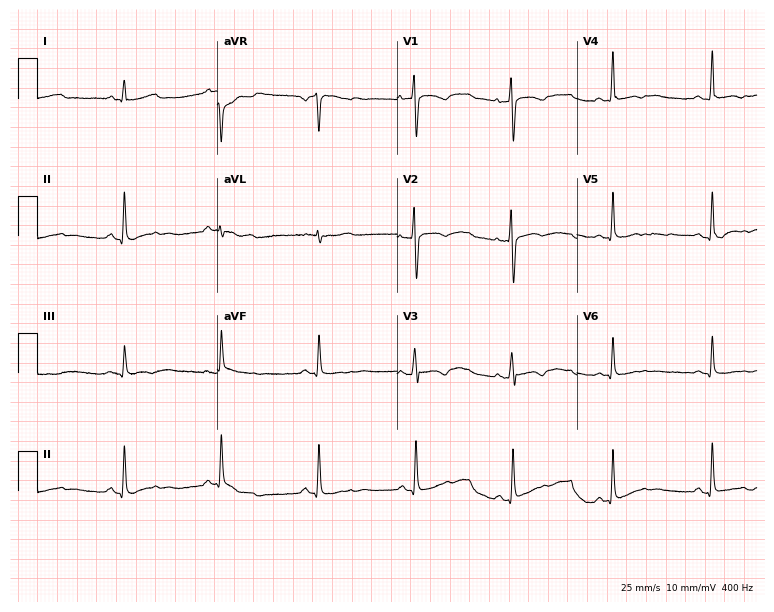
ECG (7.3-second recording at 400 Hz) — a female, 34 years old. Screened for six findings — first-degree AV block, right bundle branch block, left bundle branch block, sinus bradycardia, atrial fibrillation, sinus tachycardia — none is recorded.